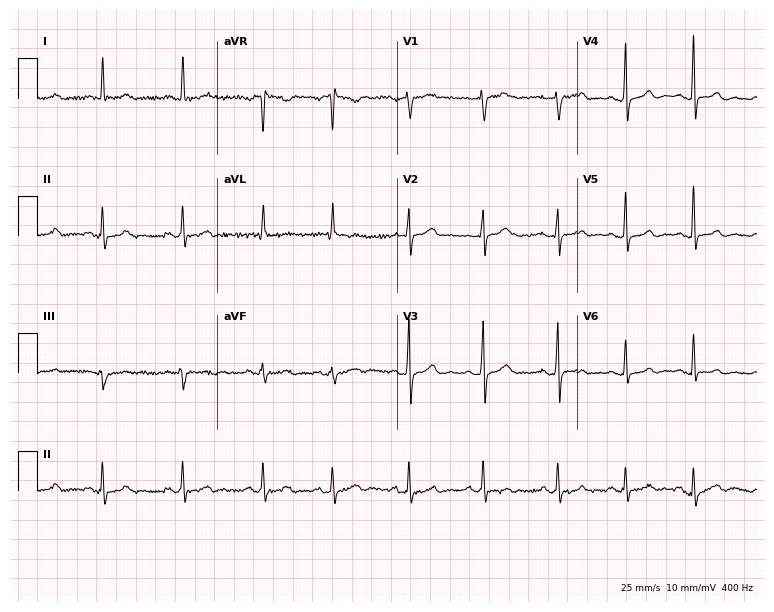
Standard 12-lead ECG recorded from a 40-year-old female (7.3-second recording at 400 Hz). None of these six findings is recorded: first-degree AV block, right bundle branch block (RBBB), left bundle branch block (LBBB), sinus bradycardia, atrial fibrillation (AF), sinus tachycardia.